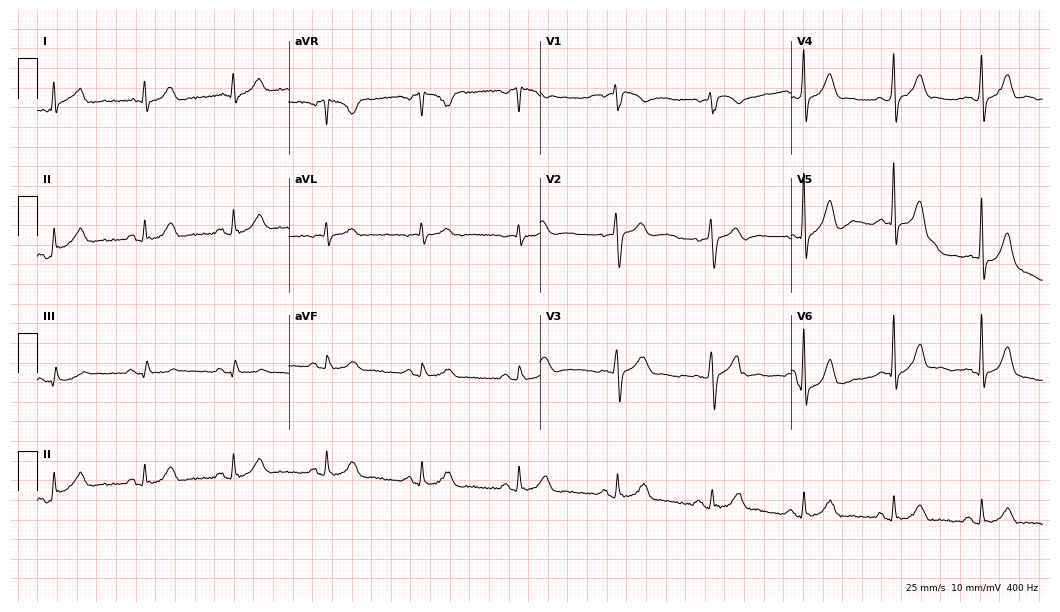
Standard 12-lead ECG recorded from a male, 42 years old (10.2-second recording at 400 Hz). Read as a normal ECG.